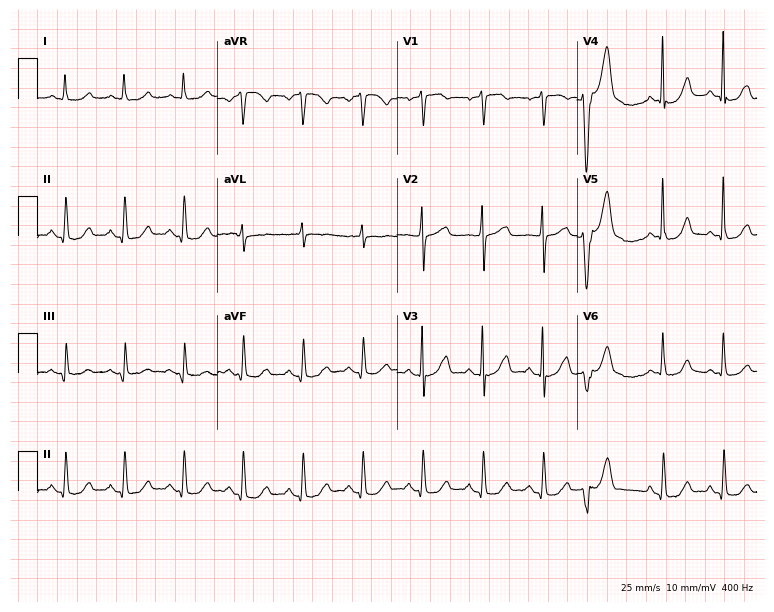
Standard 12-lead ECG recorded from a woman, 77 years old. None of these six findings is recorded: first-degree AV block, right bundle branch block, left bundle branch block, sinus bradycardia, atrial fibrillation, sinus tachycardia.